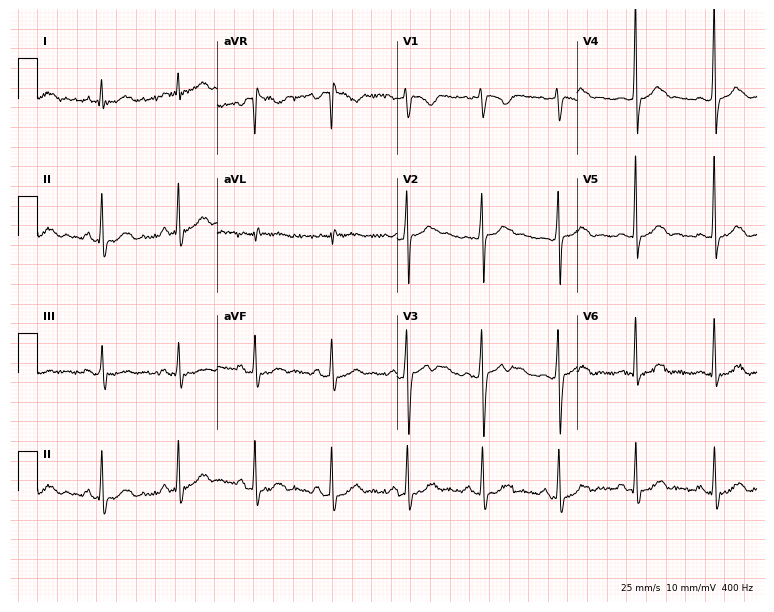
12-lead ECG from a man, 34 years old (7.3-second recording at 400 Hz). Recorded interpretation: within normal limits.